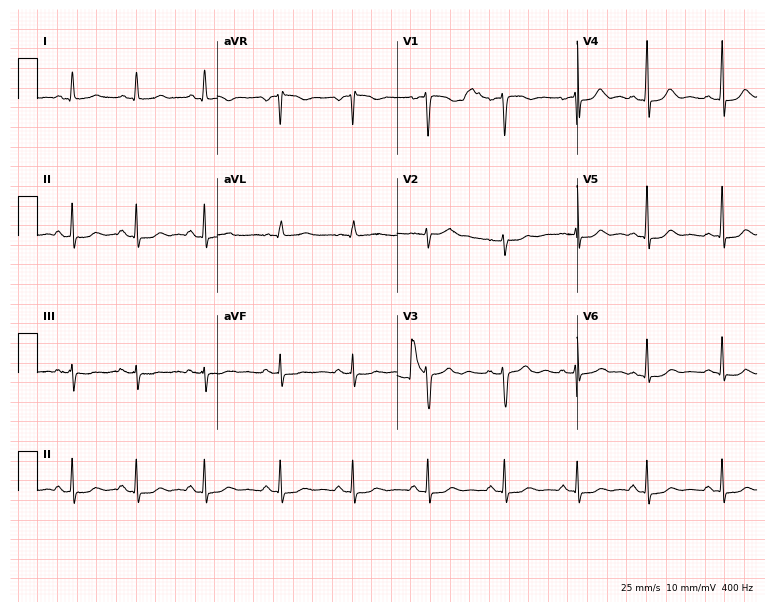
Resting 12-lead electrocardiogram. Patient: a female, 31 years old. None of these six findings is recorded: first-degree AV block, right bundle branch block, left bundle branch block, sinus bradycardia, atrial fibrillation, sinus tachycardia.